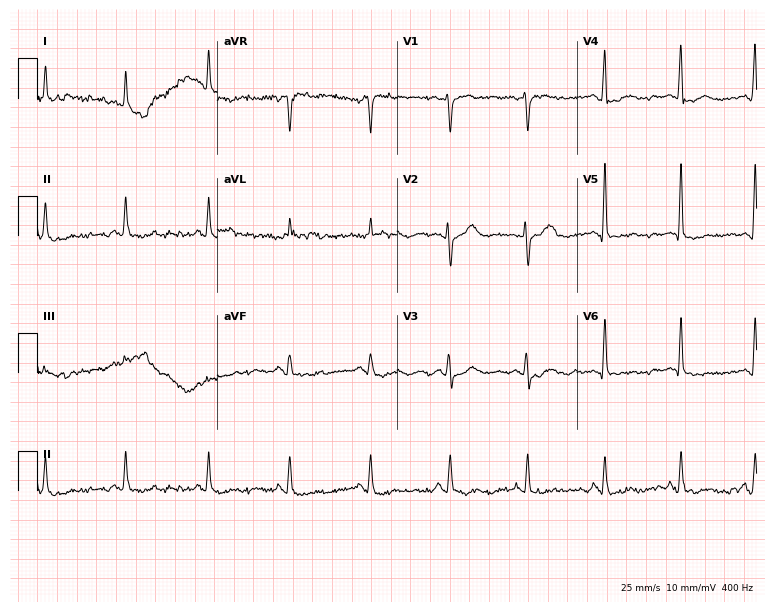
Standard 12-lead ECG recorded from a woman, 64 years old (7.3-second recording at 400 Hz). Read as a normal ECG.